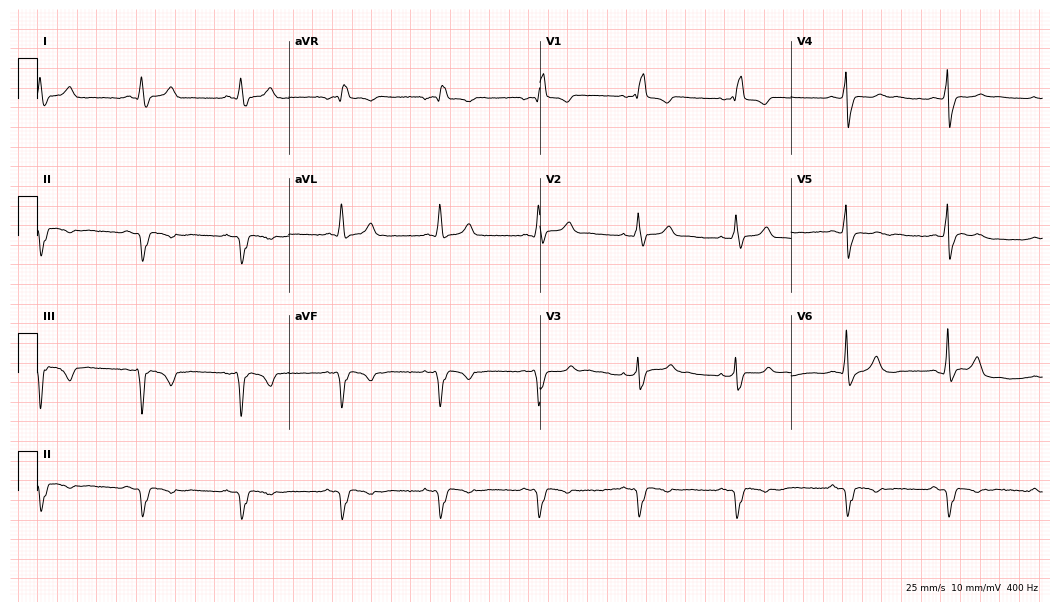
Resting 12-lead electrocardiogram (10.2-second recording at 400 Hz). Patient: a 61-year-old male. The tracing shows right bundle branch block.